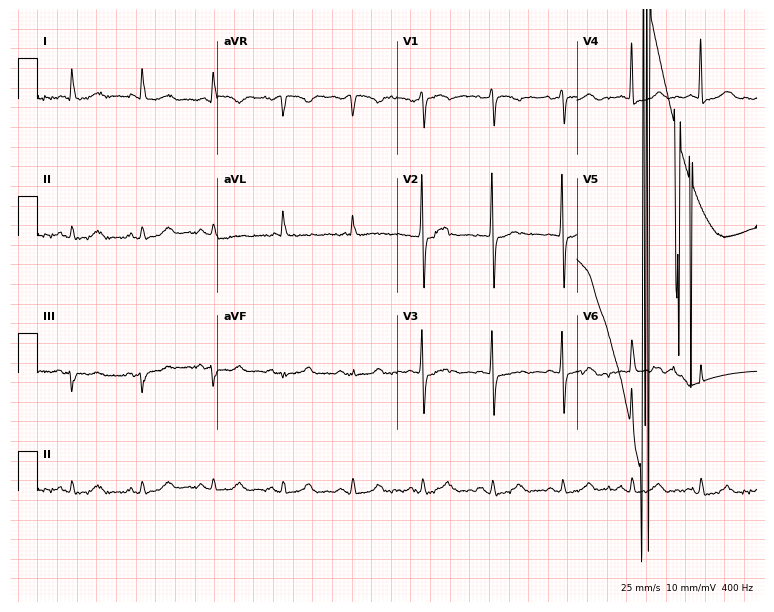
Electrocardiogram, a woman, 85 years old. Overall reading on record: normal ECG.